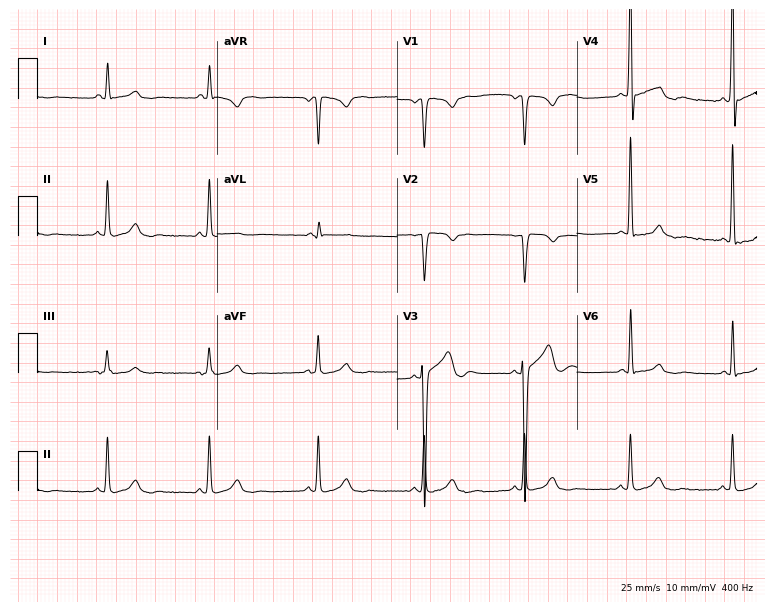
Electrocardiogram, a 41-year-old man. Of the six screened findings (first-degree AV block, right bundle branch block (RBBB), left bundle branch block (LBBB), sinus bradycardia, atrial fibrillation (AF), sinus tachycardia), none is recorded. Findings outside these six are not listed.